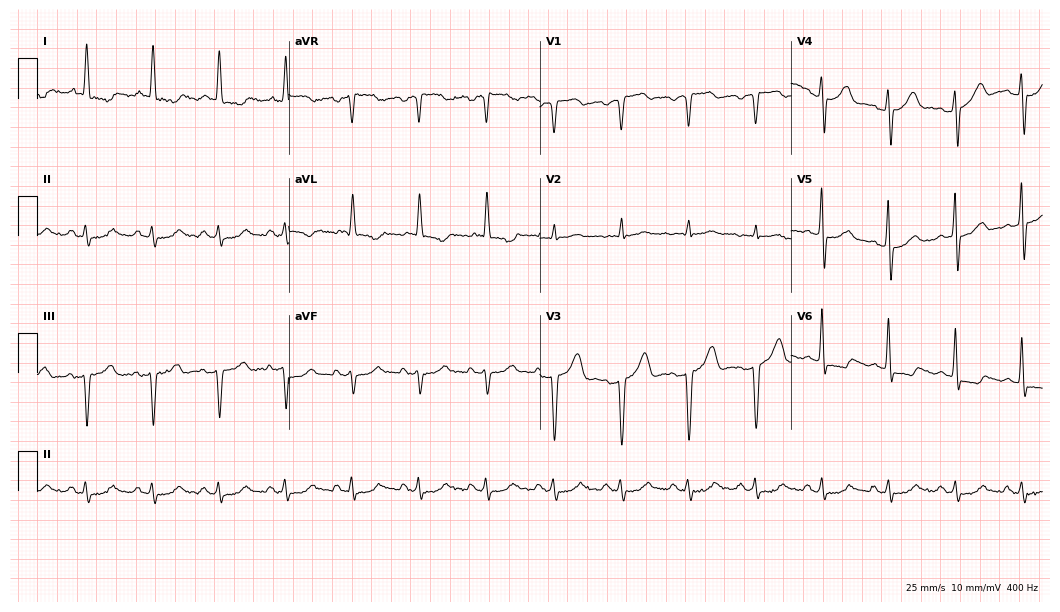
Standard 12-lead ECG recorded from a 77-year-old man (10.2-second recording at 400 Hz). None of these six findings is recorded: first-degree AV block, right bundle branch block, left bundle branch block, sinus bradycardia, atrial fibrillation, sinus tachycardia. Other findings, if any, are not listed.